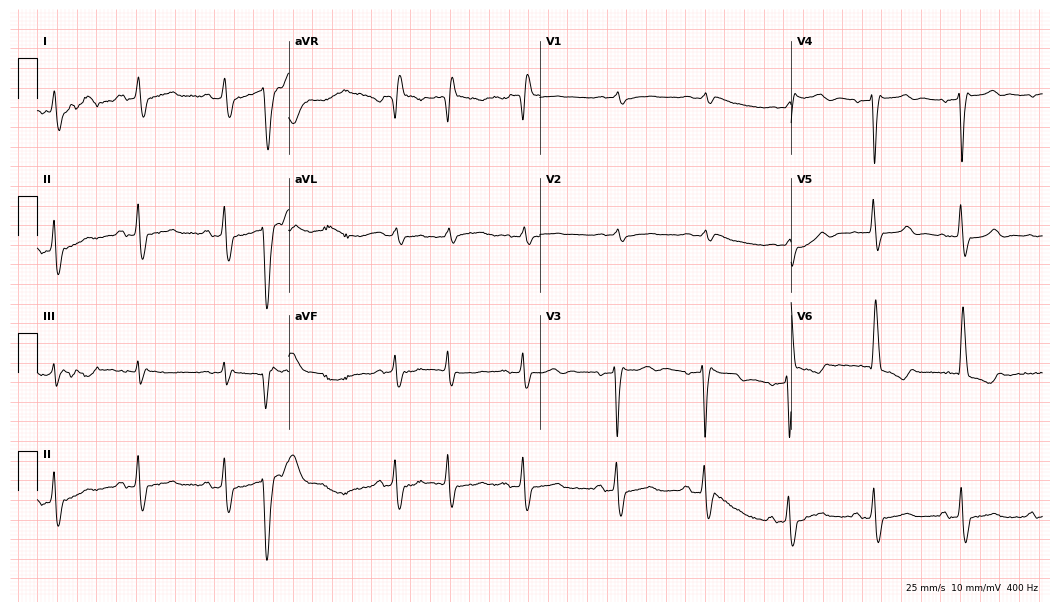
Standard 12-lead ECG recorded from a female patient, 84 years old. The tracing shows left bundle branch block.